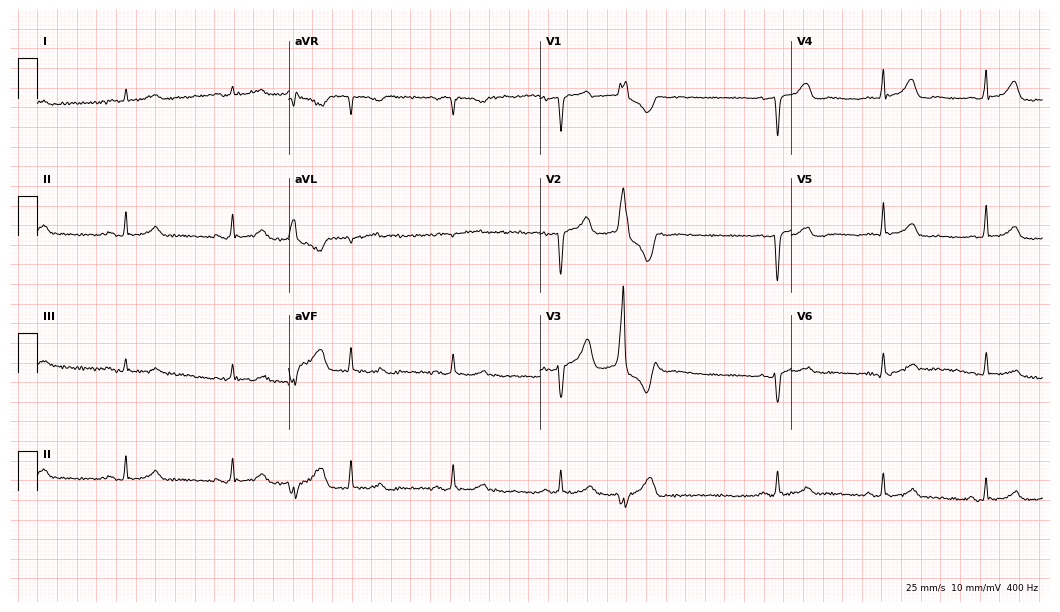
12-lead ECG (10.2-second recording at 400 Hz) from a 51-year-old female. Screened for six findings — first-degree AV block, right bundle branch block, left bundle branch block, sinus bradycardia, atrial fibrillation, sinus tachycardia — none is recorded.